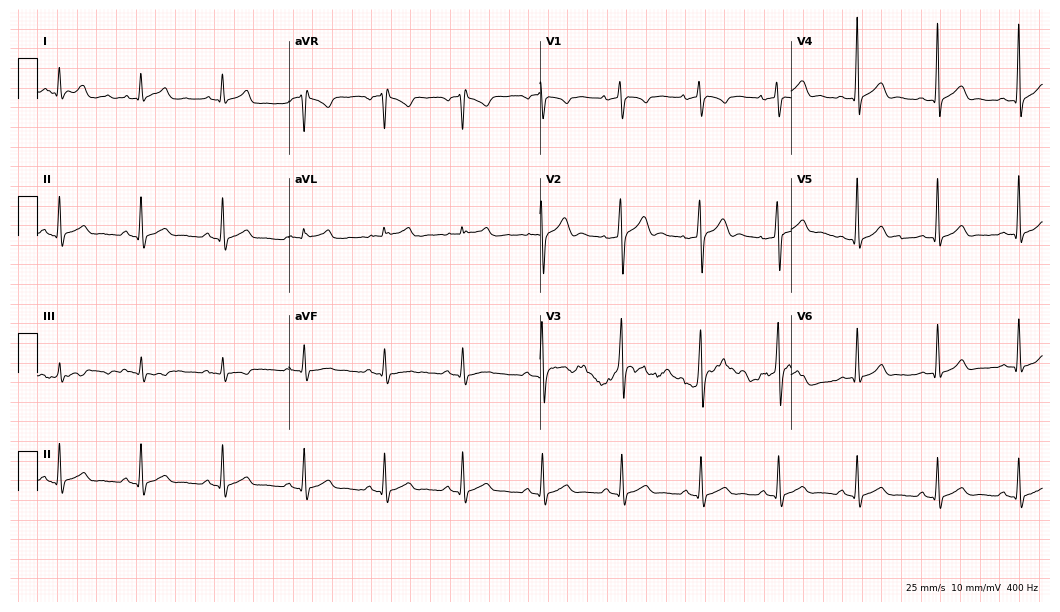
ECG (10.2-second recording at 400 Hz) — a 29-year-old man. Screened for six findings — first-degree AV block, right bundle branch block, left bundle branch block, sinus bradycardia, atrial fibrillation, sinus tachycardia — none is recorded.